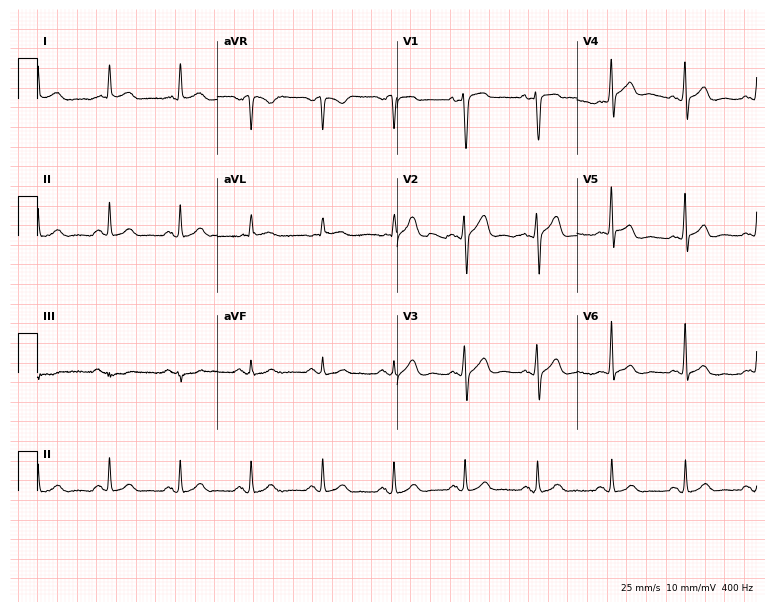
Resting 12-lead electrocardiogram. Patient: a man, 69 years old. Read as a normal ECG.